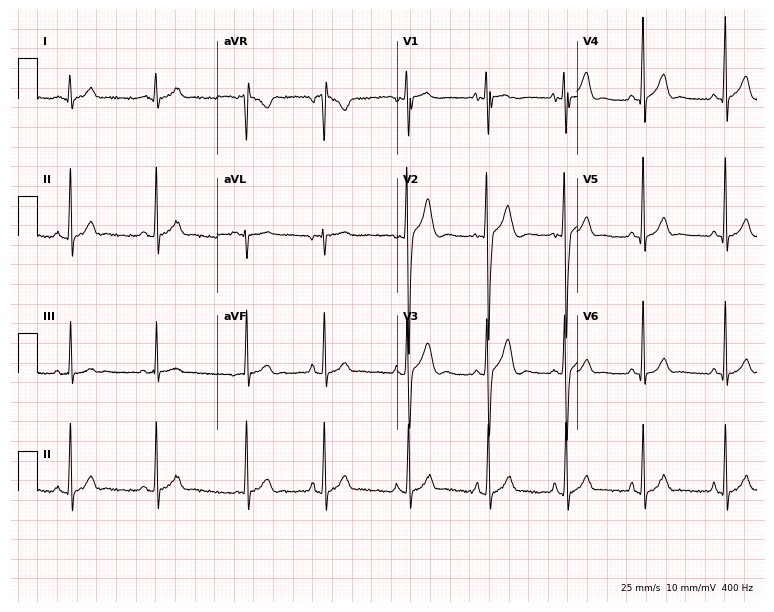
Electrocardiogram (7.3-second recording at 400 Hz), a 20-year-old male. Of the six screened findings (first-degree AV block, right bundle branch block (RBBB), left bundle branch block (LBBB), sinus bradycardia, atrial fibrillation (AF), sinus tachycardia), none is recorded.